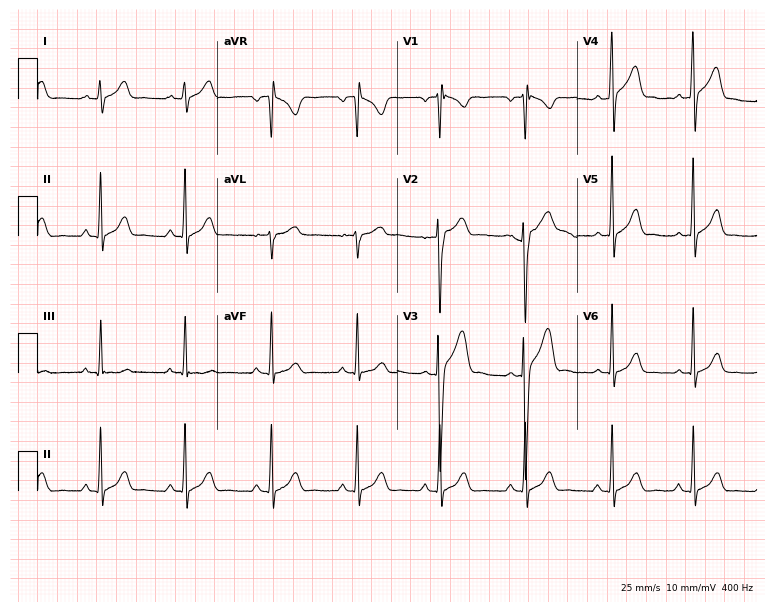
ECG — a 20-year-old male. Labelled as a normal ECG.